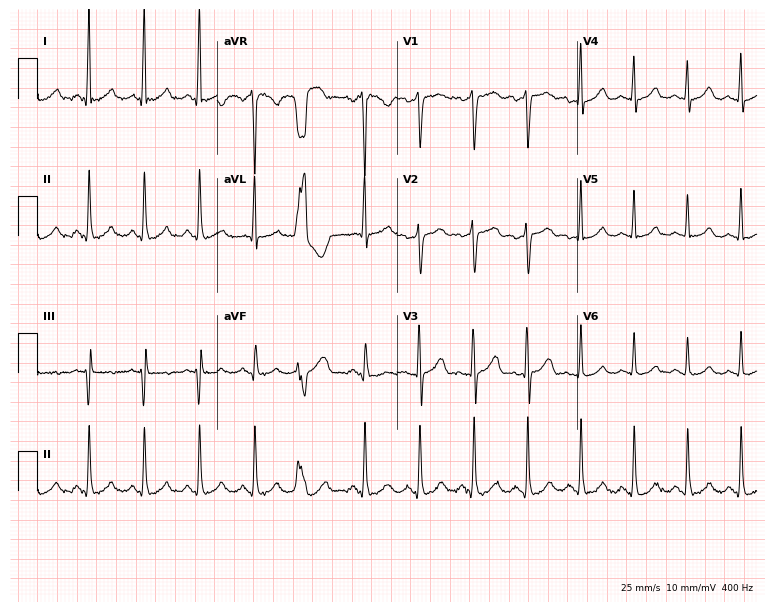
ECG — a 34-year-old female. Findings include sinus tachycardia (a sinus rate of 100 beats per minute or more).